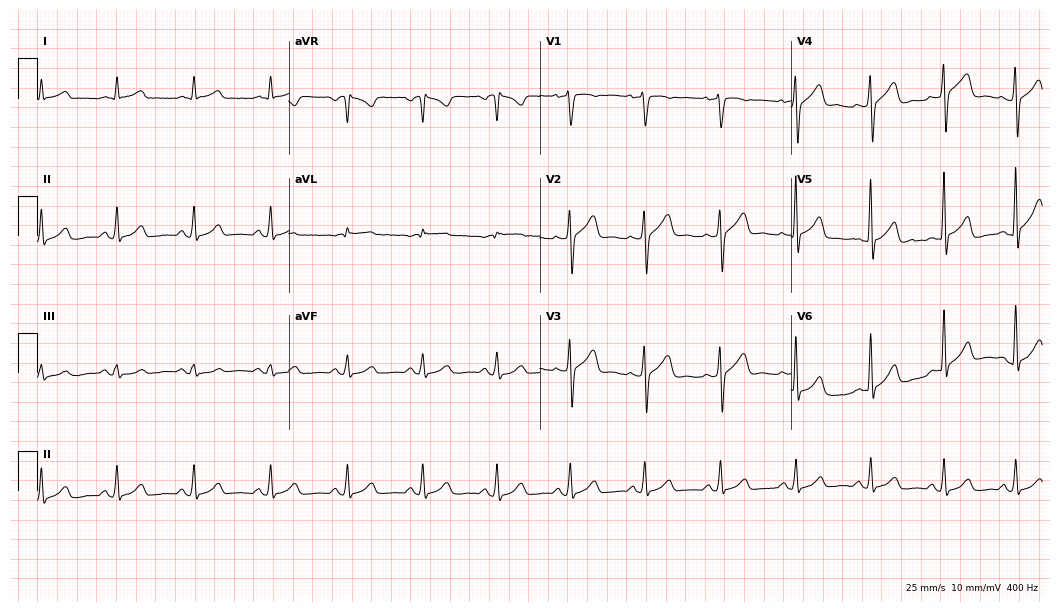
Electrocardiogram, a man, 54 years old. Overall reading on record: normal ECG.